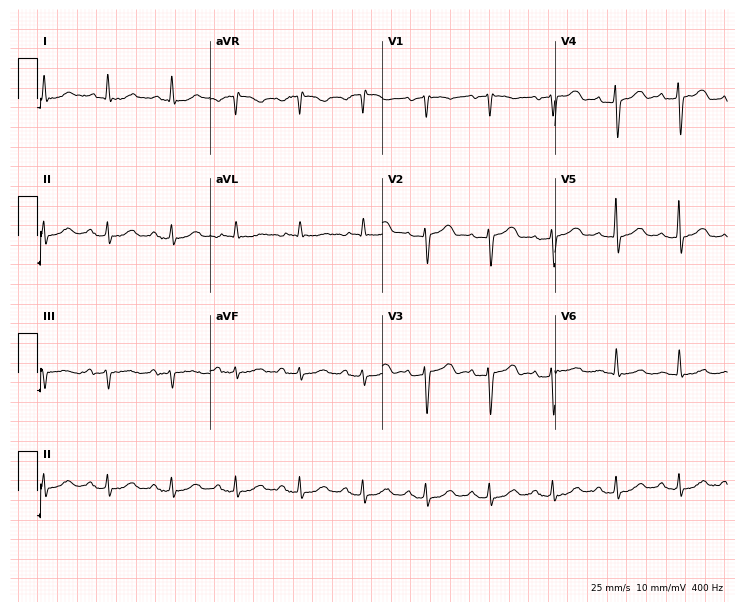
Standard 12-lead ECG recorded from a man, 74 years old. None of these six findings is recorded: first-degree AV block, right bundle branch block (RBBB), left bundle branch block (LBBB), sinus bradycardia, atrial fibrillation (AF), sinus tachycardia.